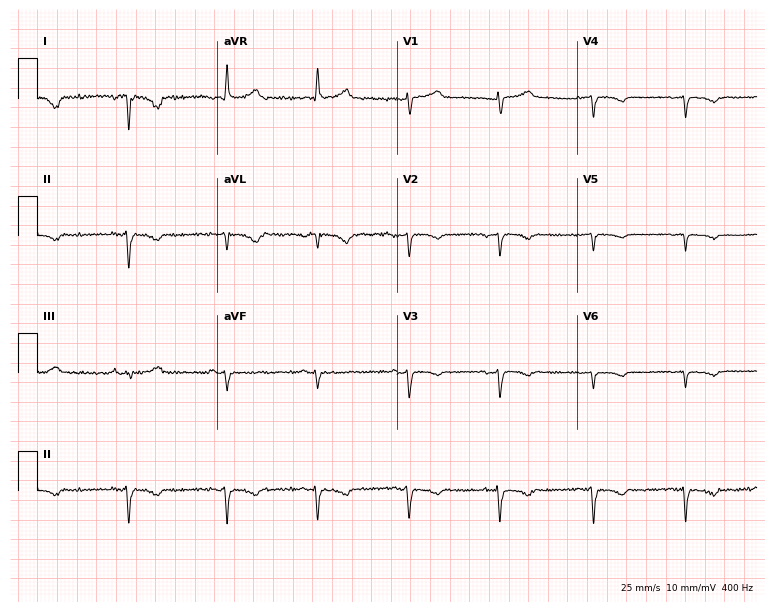
Electrocardiogram, a 60-year-old female. Of the six screened findings (first-degree AV block, right bundle branch block, left bundle branch block, sinus bradycardia, atrial fibrillation, sinus tachycardia), none is recorded.